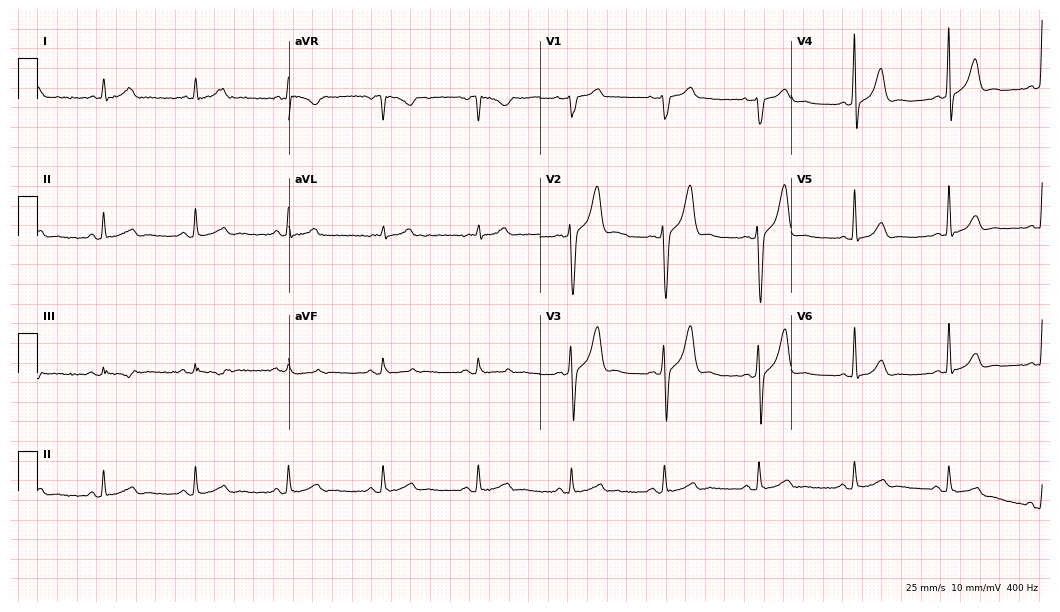
ECG (10.2-second recording at 400 Hz) — a 48-year-old man. Labelled as a normal ECG.